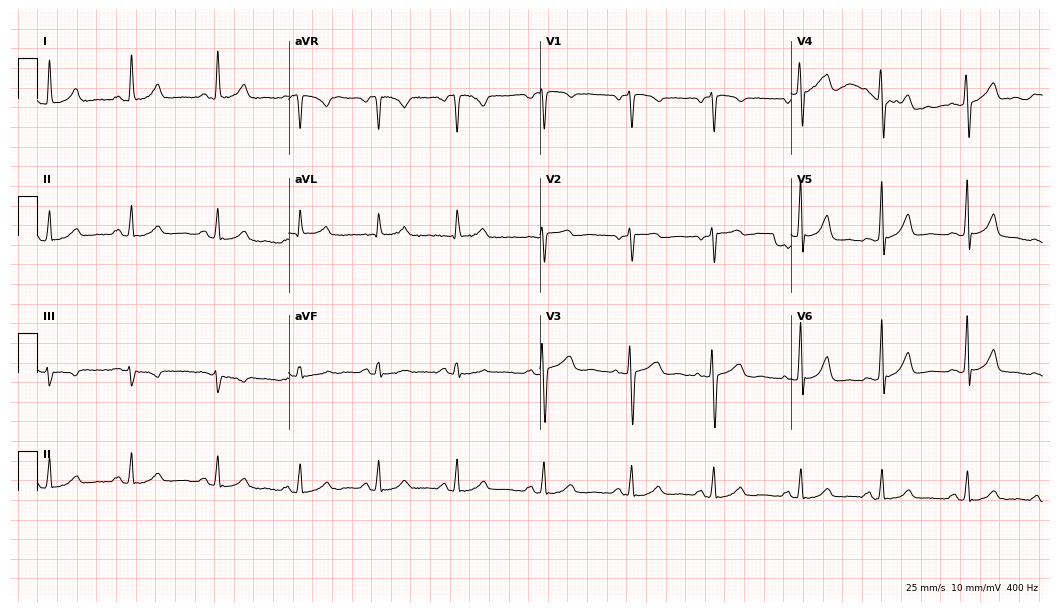
Resting 12-lead electrocardiogram. Patient: a 41-year-old female. Read as a normal ECG.